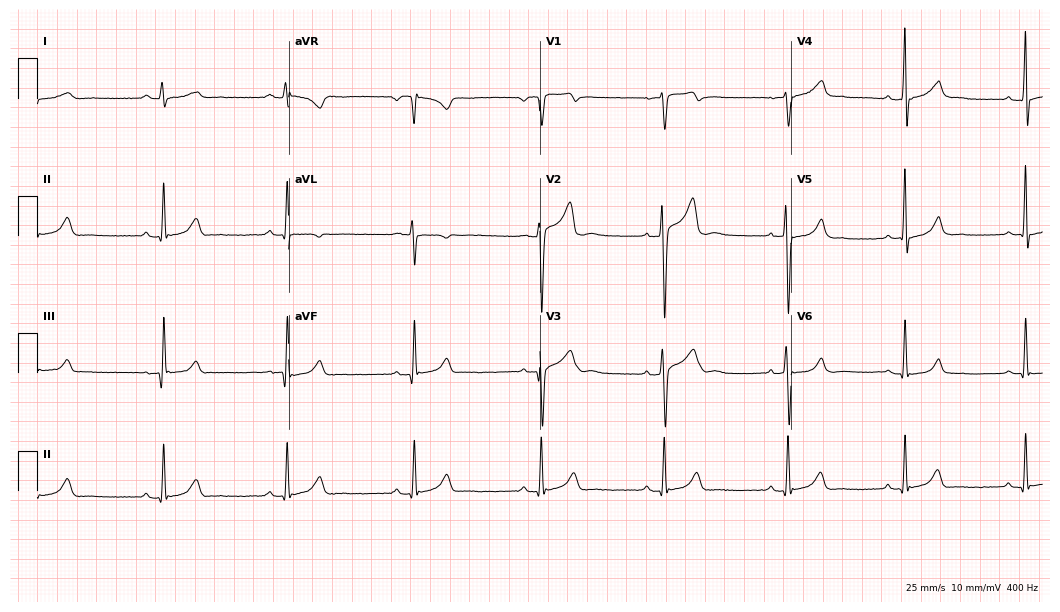
Resting 12-lead electrocardiogram (10.2-second recording at 400 Hz). Patient: a 24-year-old man. Read as a normal ECG.